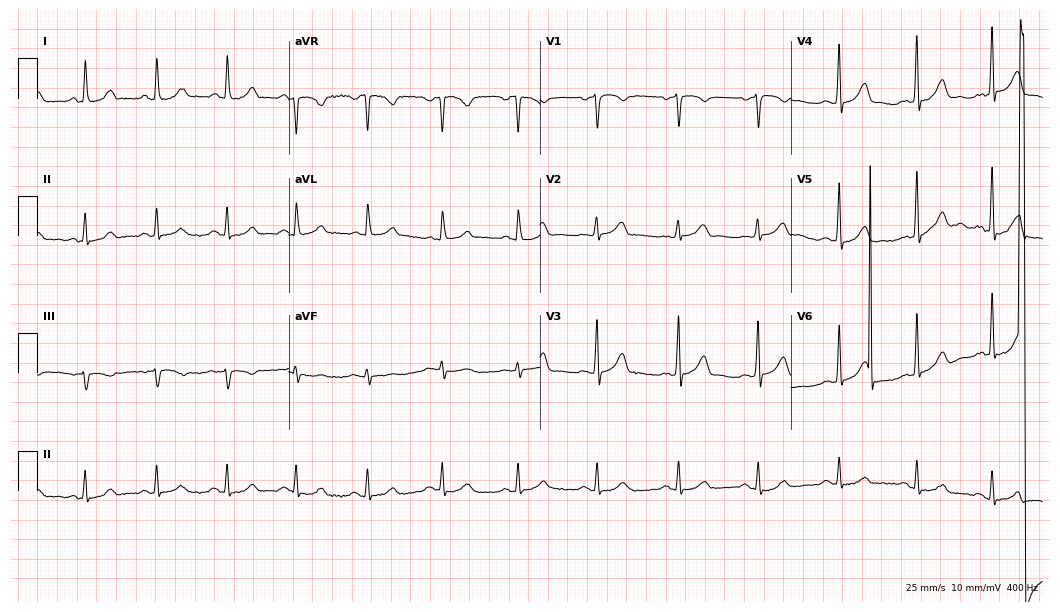
12-lead ECG (10.2-second recording at 400 Hz) from a woman, 51 years old. Screened for six findings — first-degree AV block, right bundle branch block, left bundle branch block, sinus bradycardia, atrial fibrillation, sinus tachycardia — none is recorded. Findings outside these six are not listed.